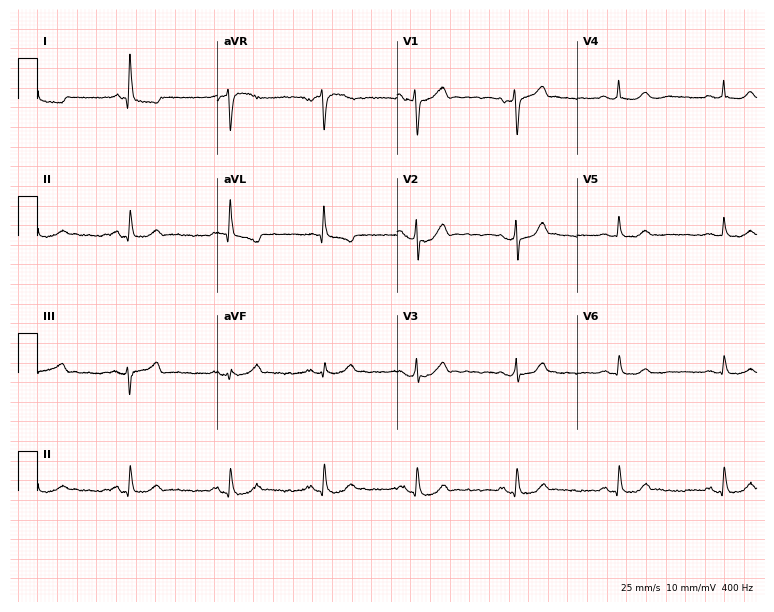
12-lead ECG from a 74-year-old female patient. Screened for six findings — first-degree AV block, right bundle branch block (RBBB), left bundle branch block (LBBB), sinus bradycardia, atrial fibrillation (AF), sinus tachycardia — none is recorded. Findings outside these six are not listed.